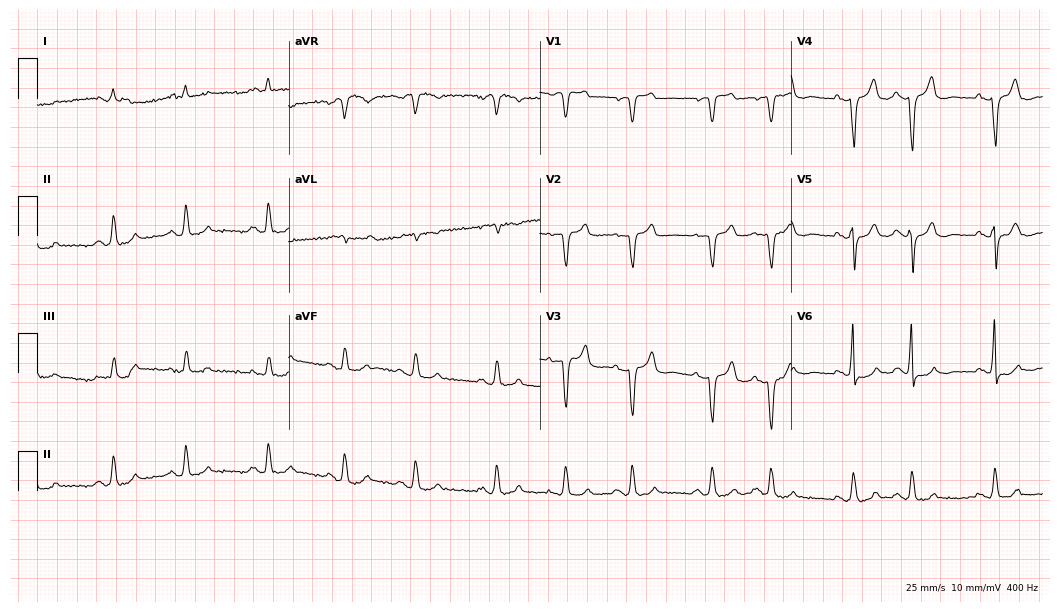
Electrocardiogram (10.2-second recording at 400 Hz), a male patient, 84 years old. Of the six screened findings (first-degree AV block, right bundle branch block, left bundle branch block, sinus bradycardia, atrial fibrillation, sinus tachycardia), none is recorded.